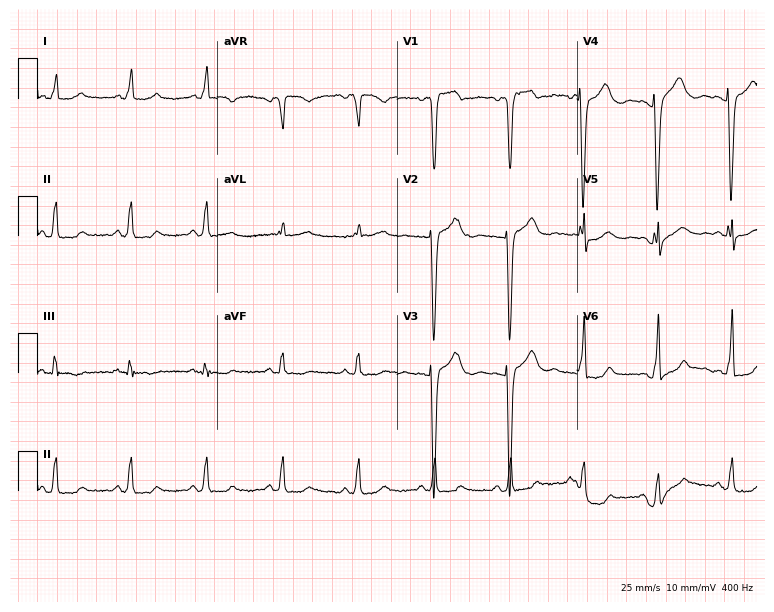
Resting 12-lead electrocardiogram. Patient: a 47-year-old female. None of these six findings is recorded: first-degree AV block, right bundle branch block (RBBB), left bundle branch block (LBBB), sinus bradycardia, atrial fibrillation (AF), sinus tachycardia.